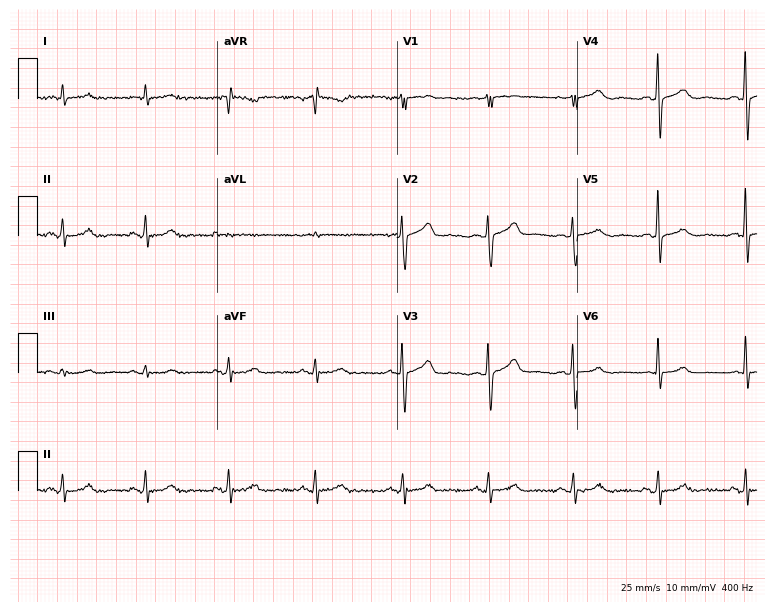
Resting 12-lead electrocardiogram. Patient: a 71-year-old woman. Read as a normal ECG.